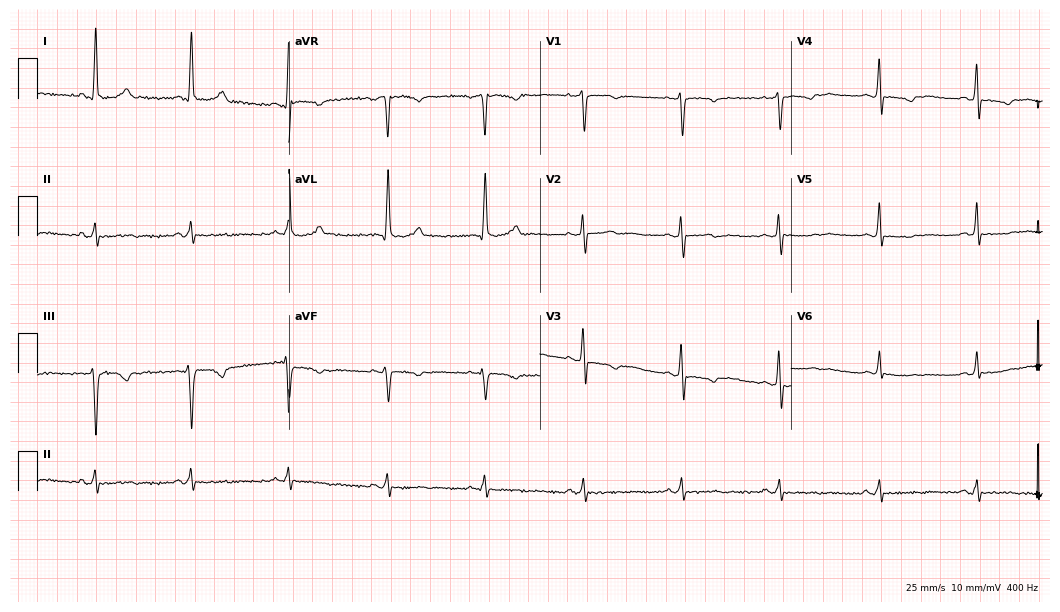
12-lead ECG (10.2-second recording at 400 Hz) from a female patient, 57 years old. Screened for six findings — first-degree AV block, right bundle branch block (RBBB), left bundle branch block (LBBB), sinus bradycardia, atrial fibrillation (AF), sinus tachycardia — none is recorded.